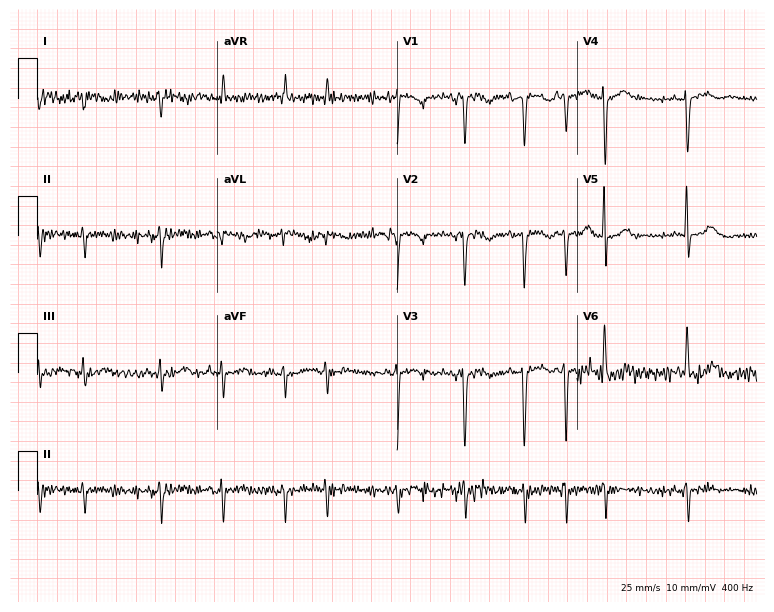
Electrocardiogram, a woman, 67 years old. Of the six screened findings (first-degree AV block, right bundle branch block (RBBB), left bundle branch block (LBBB), sinus bradycardia, atrial fibrillation (AF), sinus tachycardia), none is recorded.